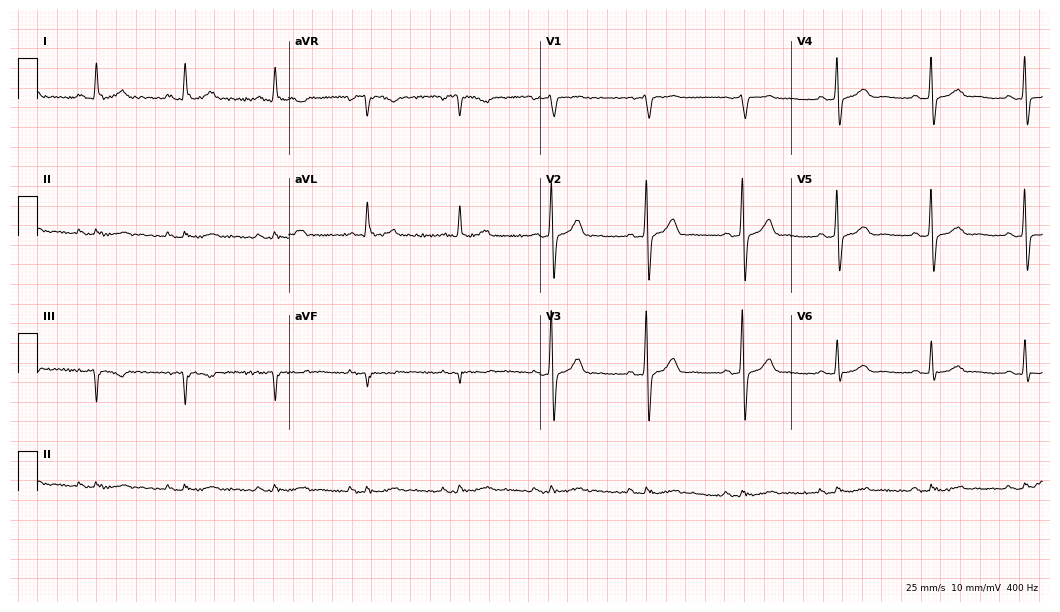
12-lead ECG from a 62-year-old male. Labelled as a normal ECG.